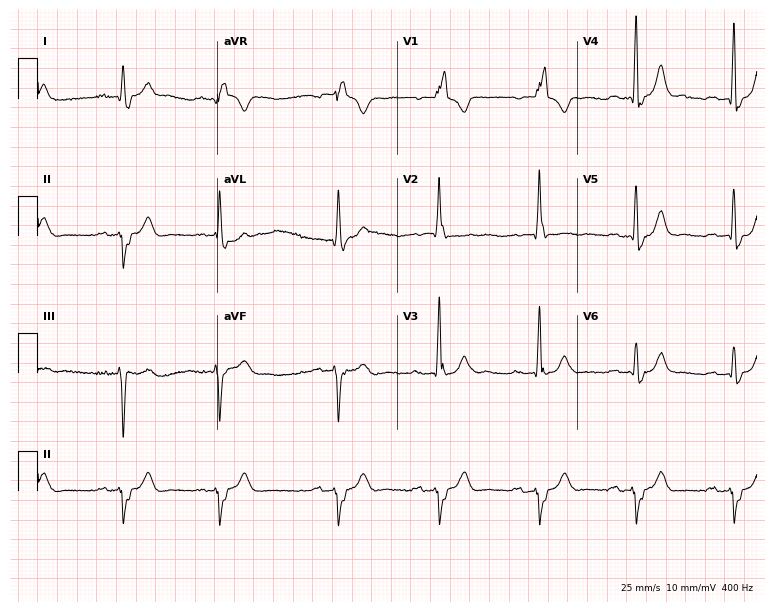
ECG (7.3-second recording at 400 Hz) — an 83-year-old male patient. Findings include first-degree AV block, right bundle branch block (RBBB).